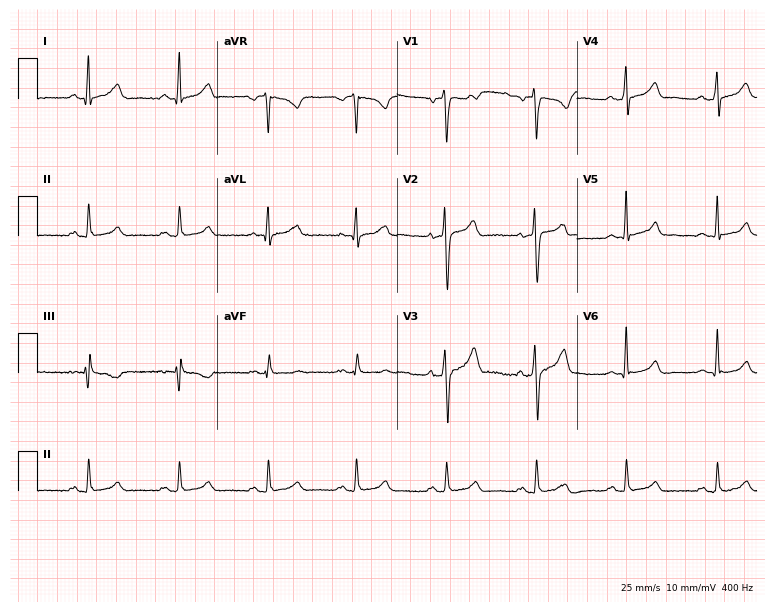
12-lead ECG from a 38-year-old man (7.3-second recording at 400 Hz). Recorded interpretation: within normal limits.